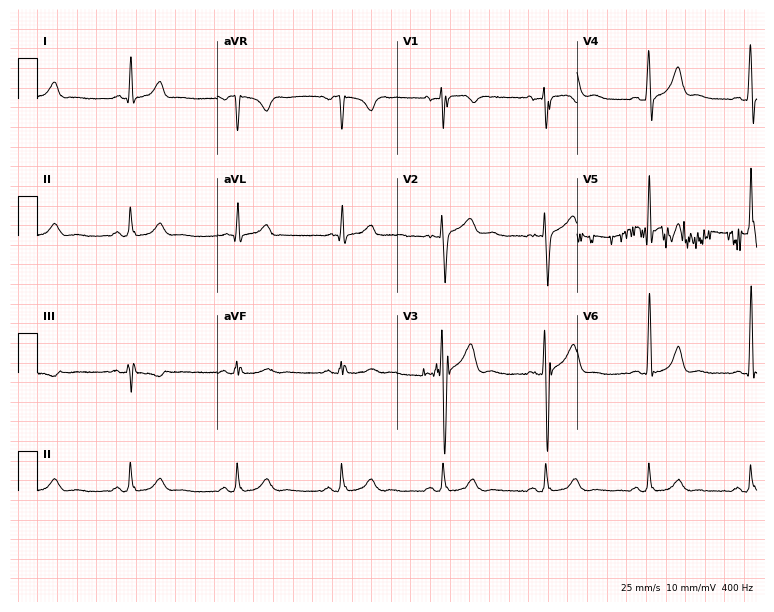
ECG (7.3-second recording at 400 Hz) — a 40-year-old man. Labelled as a normal ECG.